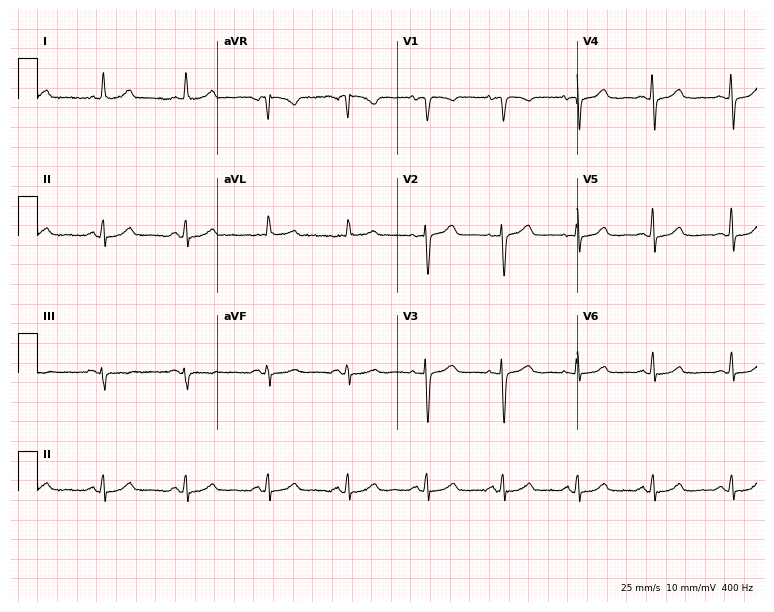
ECG — a 68-year-old female patient. Labelled as a normal ECG.